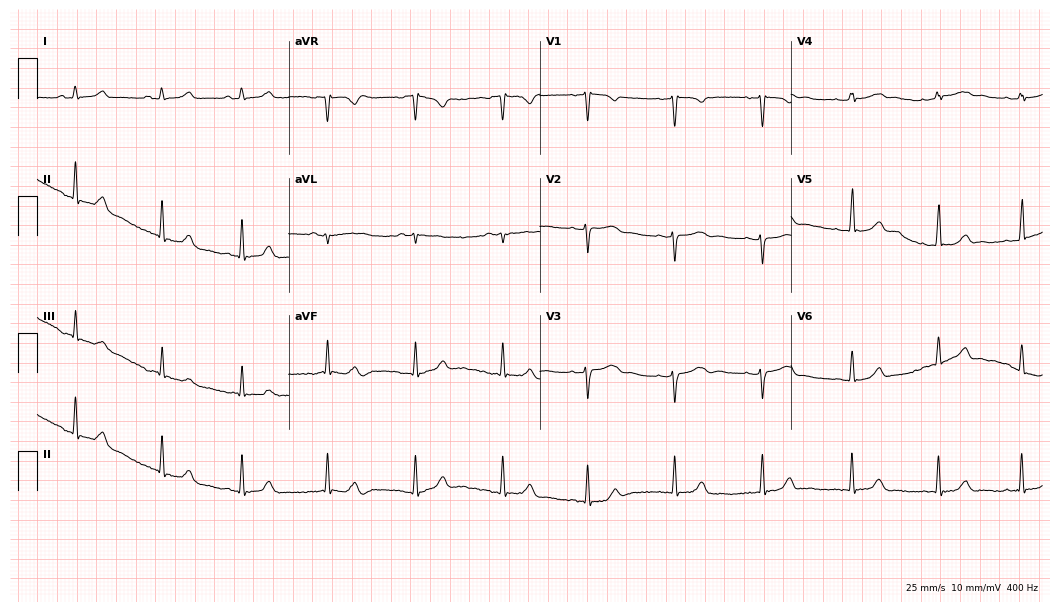
ECG — a 23-year-old female patient. Labelled as a normal ECG.